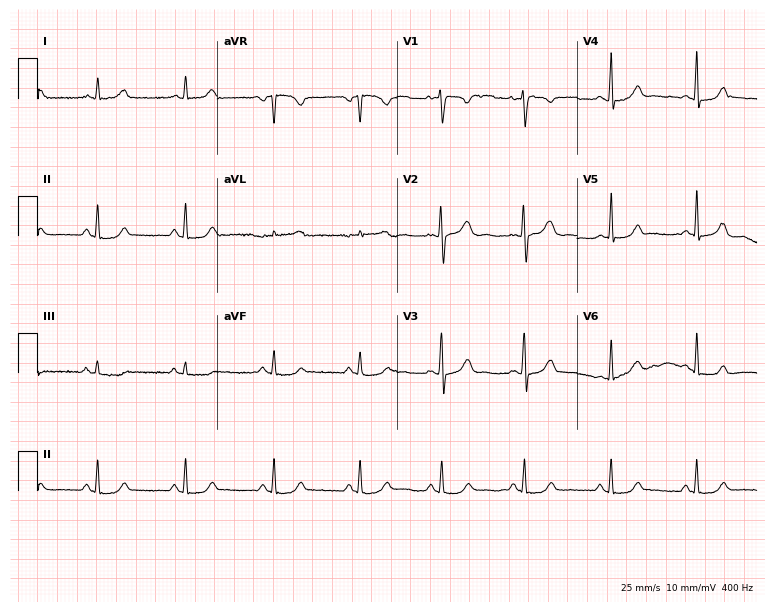
ECG (7.3-second recording at 400 Hz) — a 35-year-old female. Screened for six findings — first-degree AV block, right bundle branch block (RBBB), left bundle branch block (LBBB), sinus bradycardia, atrial fibrillation (AF), sinus tachycardia — none is recorded.